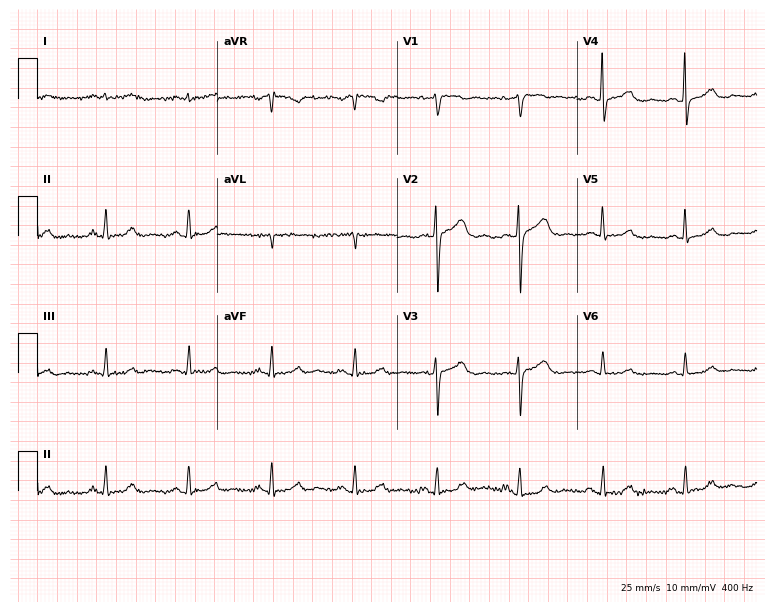
Resting 12-lead electrocardiogram. Patient: a 50-year-old female. Read as a normal ECG.